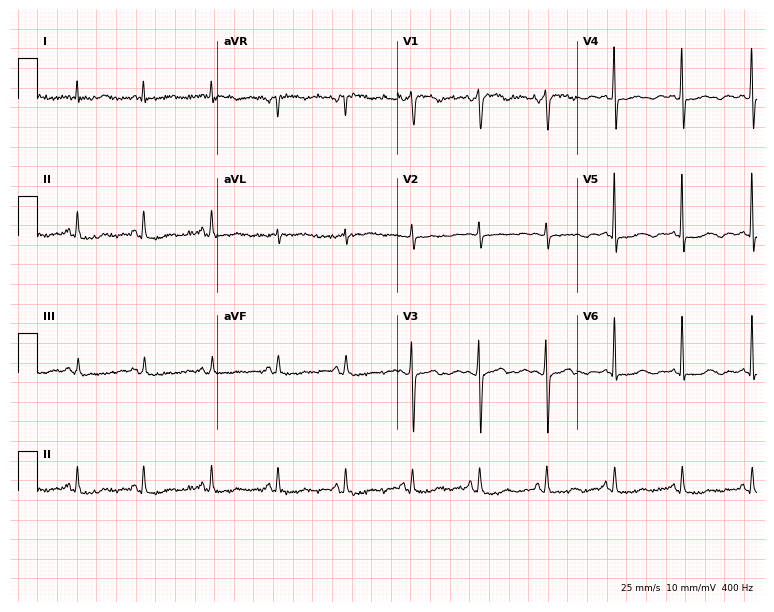
Electrocardiogram (7.3-second recording at 400 Hz), a woman, 83 years old. Of the six screened findings (first-degree AV block, right bundle branch block, left bundle branch block, sinus bradycardia, atrial fibrillation, sinus tachycardia), none is recorded.